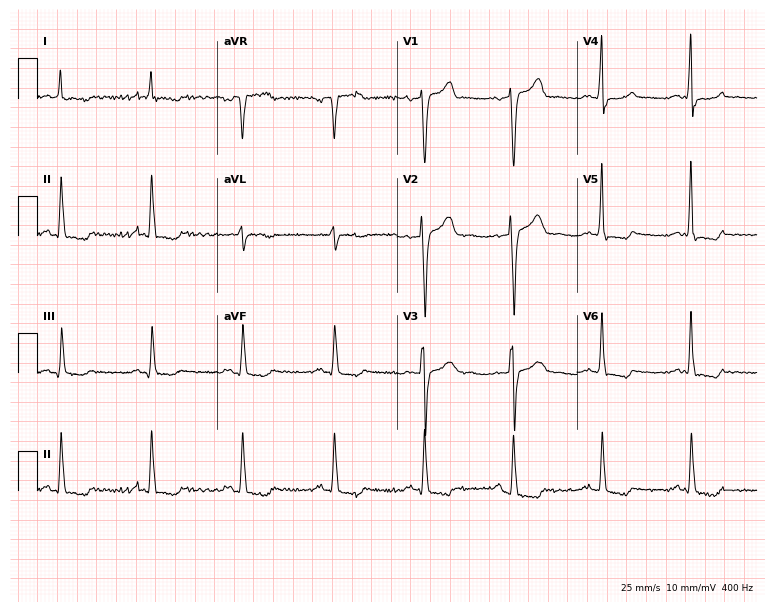
12-lead ECG from a man, 65 years old. No first-degree AV block, right bundle branch block (RBBB), left bundle branch block (LBBB), sinus bradycardia, atrial fibrillation (AF) or sinus tachycardia recorded for this tracing.